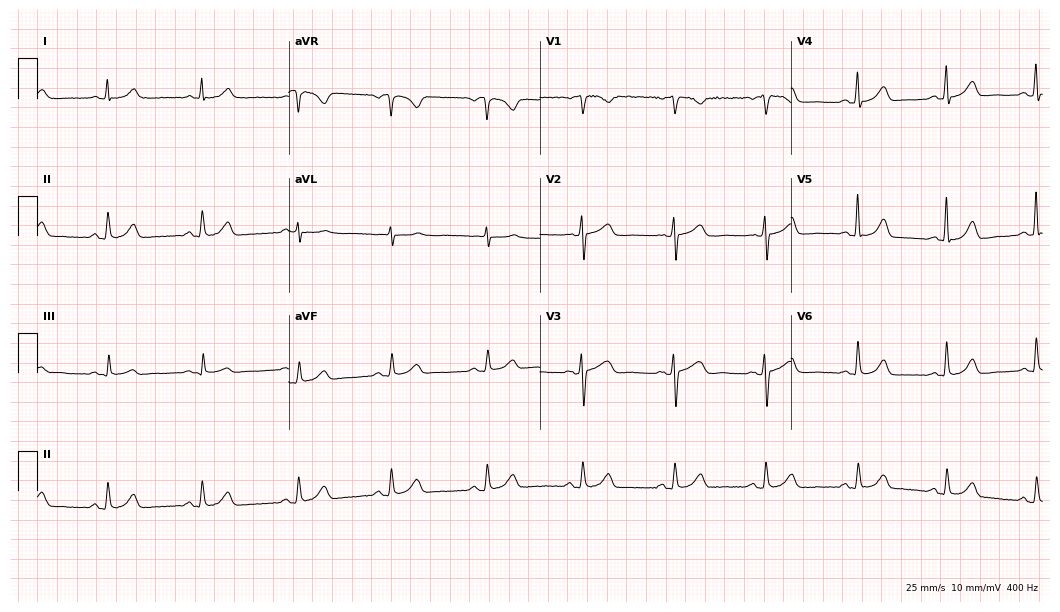
12-lead ECG from a 55-year-old female. Recorded interpretation: within normal limits.